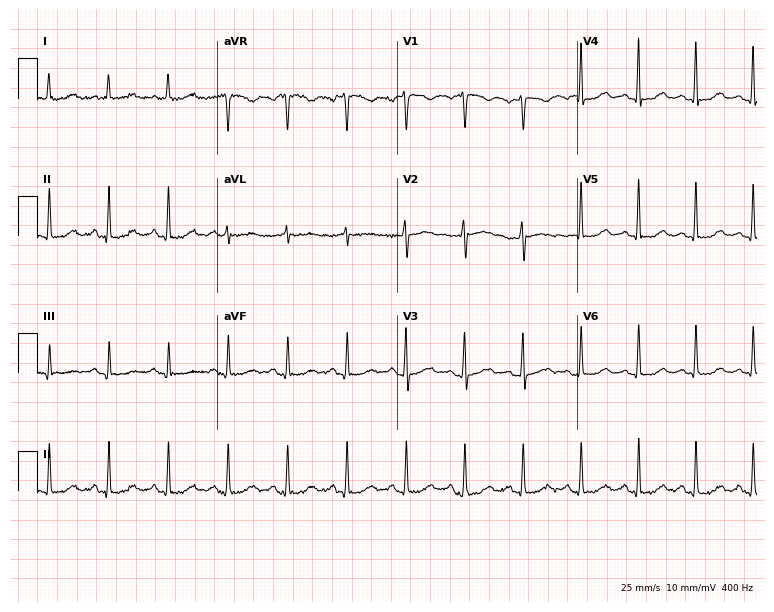
Resting 12-lead electrocardiogram. Patient: a female, 44 years old. Read as a normal ECG.